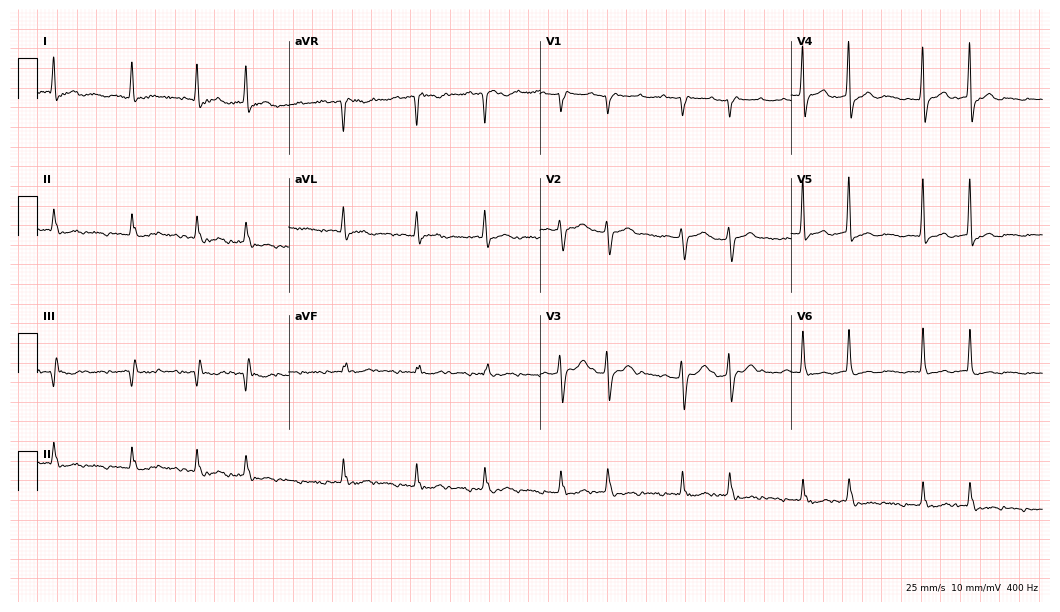
Standard 12-lead ECG recorded from a man, 82 years old (10.2-second recording at 400 Hz). The tracing shows atrial fibrillation (AF).